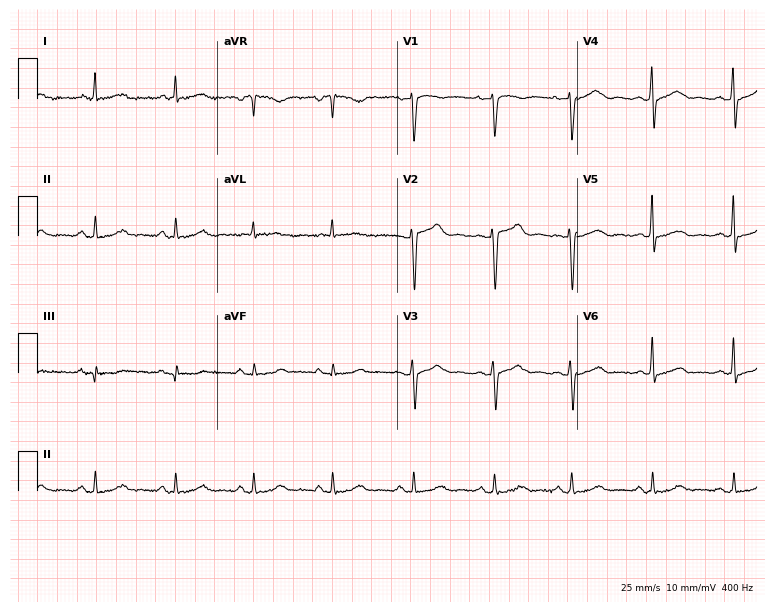
Resting 12-lead electrocardiogram (7.3-second recording at 400 Hz). Patient: a 55-year-old woman. None of these six findings is recorded: first-degree AV block, right bundle branch block, left bundle branch block, sinus bradycardia, atrial fibrillation, sinus tachycardia. Findings outside these six are not listed.